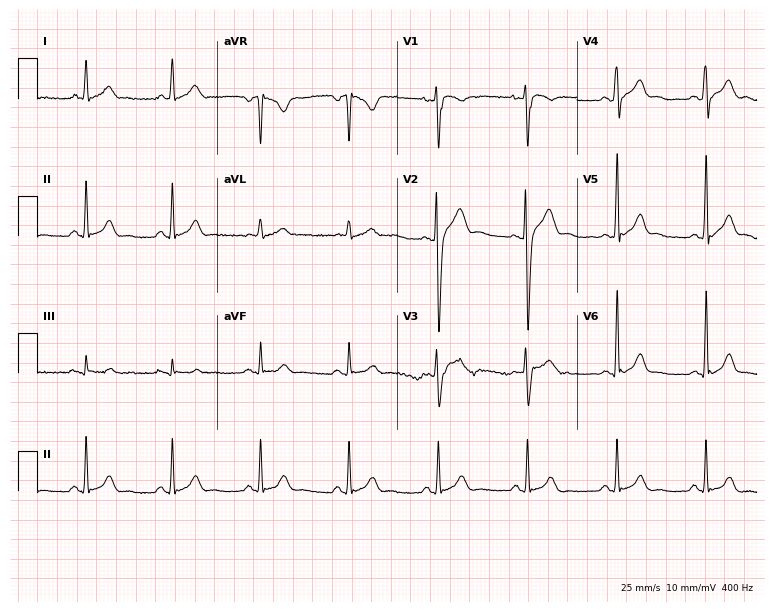
ECG (7.3-second recording at 400 Hz) — a 29-year-old male. Labelled as a normal ECG.